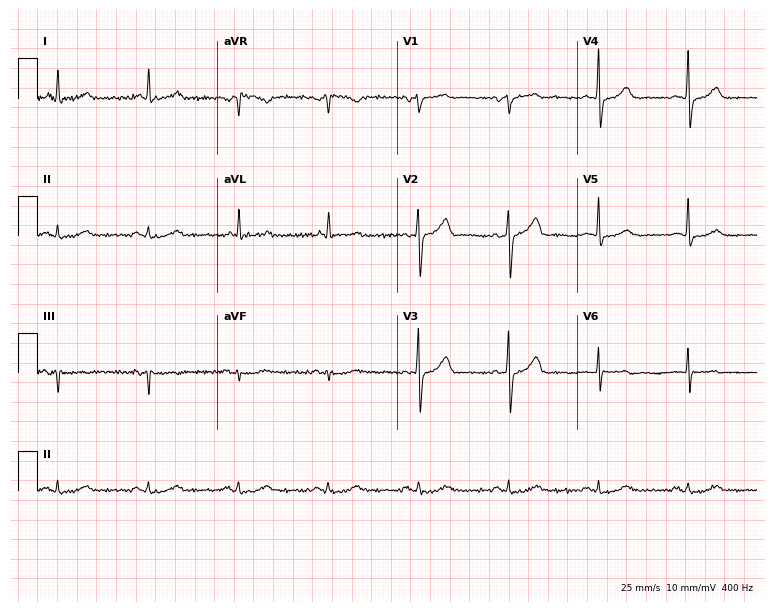
12-lead ECG from a man, 68 years old. No first-degree AV block, right bundle branch block, left bundle branch block, sinus bradycardia, atrial fibrillation or sinus tachycardia recorded for this tracing.